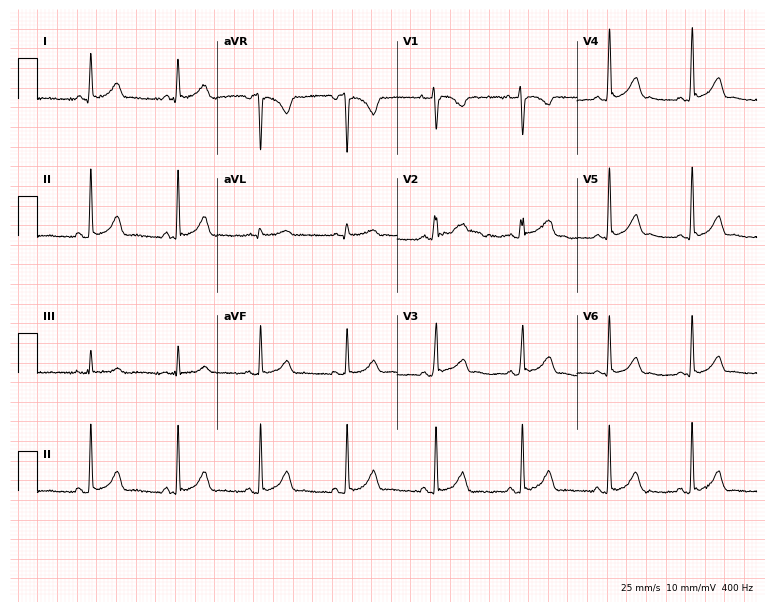
Resting 12-lead electrocardiogram (7.3-second recording at 400 Hz). Patient: a female, 27 years old. Read as a normal ECG.